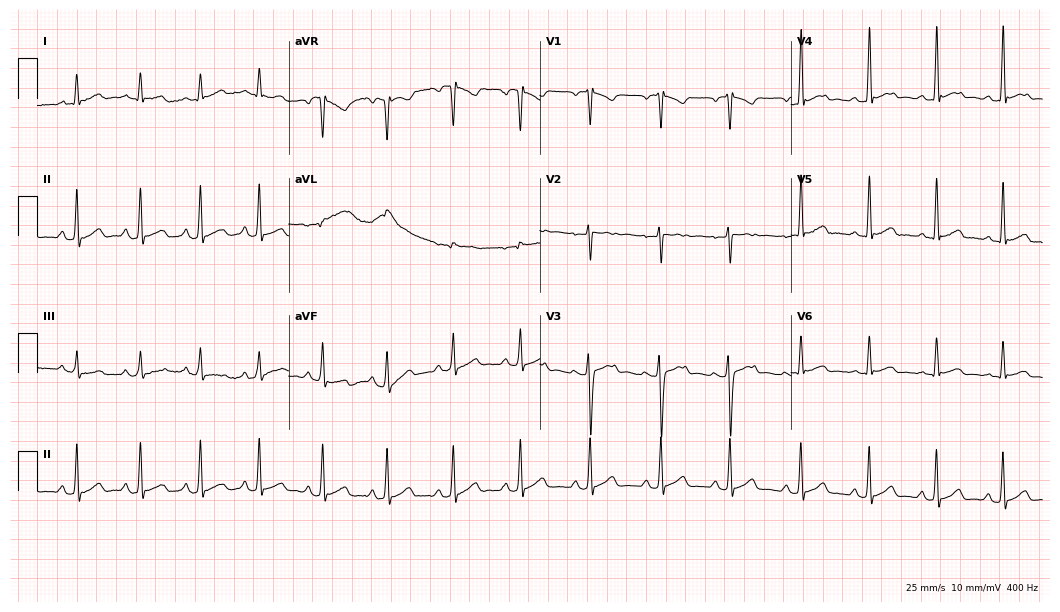
Electrocardiogram (10.2-second recording at 400 Hz), a female, 19 years old. Of the six screened findings (first-degree AV block, right bundle branch block (RBBB), left bundle branch block (LBBB), sinus bradycardia, atrial fibrillation (AF), sinus tachycardia), none is recorded. Other findings, if any, are not listed.